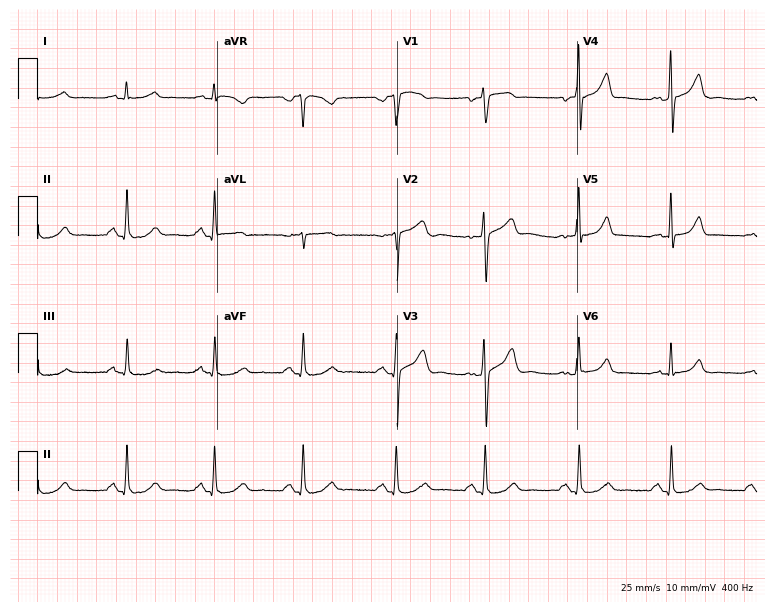
12-lead ECG from a 42-year-old man. Labelled as a normal ECG.